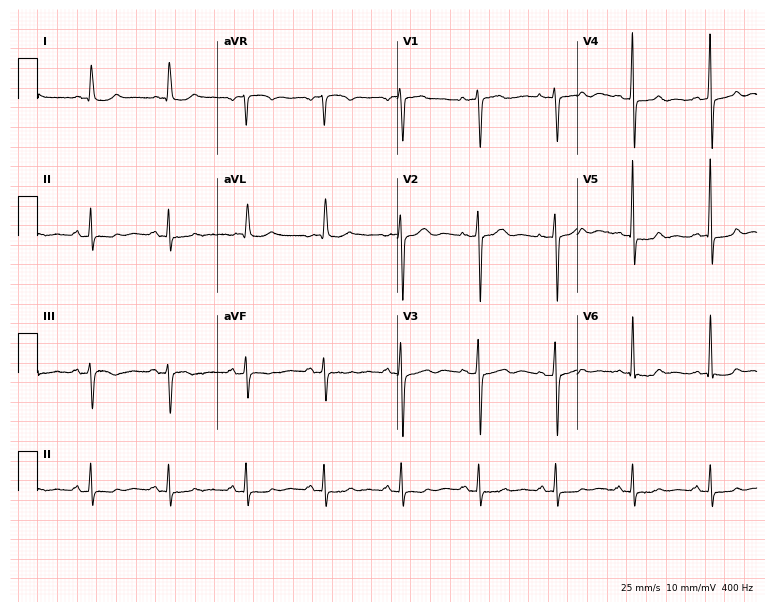
Standard 12-lead ECG recorded from an 81-year-old female. None of these six findings is recorded: first-degree AV block, right bundle branch block (RBBB), left bundle branch block (LBBB), sinus bradycardia, atrial fibrillation (AF), sinus tachycardia.